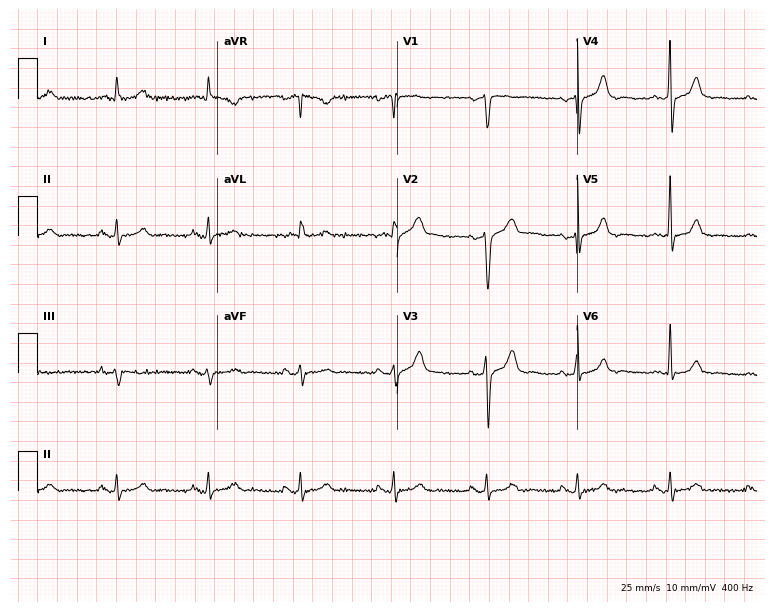
12-lead ECG from a male patient, 70 years old. Recorded interpretation: within normal limits.